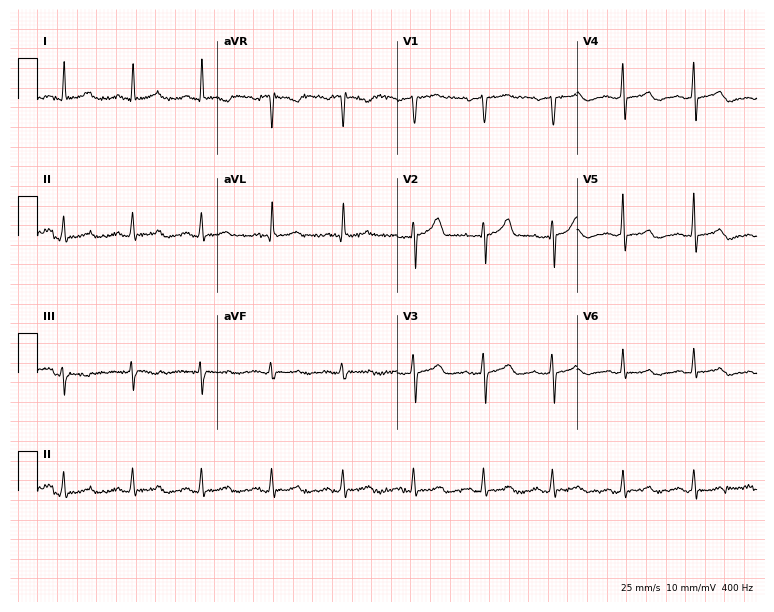
Resting 12-lead electrocardiogram. Patient: a 63-year-old man. Read as a normal ECG.